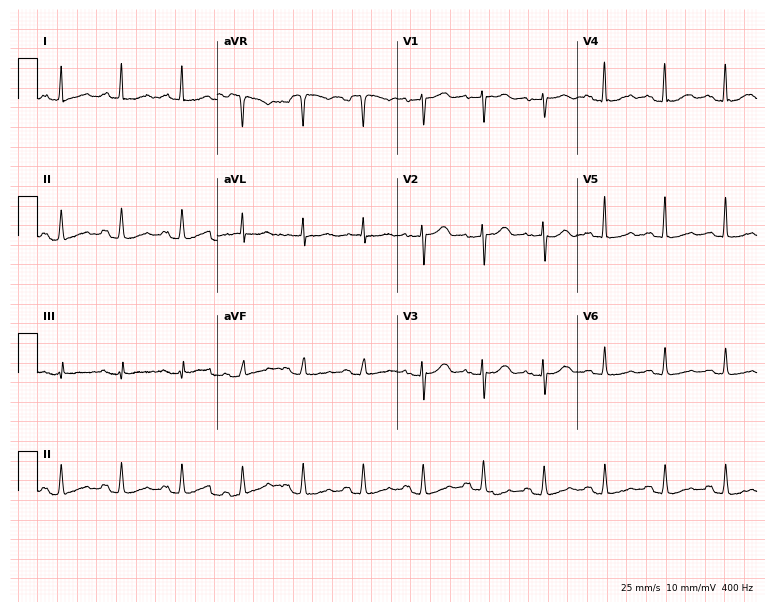
12-lead ECG from a 56-year-old woman (7.3-second recording at 400 Hz). Recorded interpretation: within normal limits.